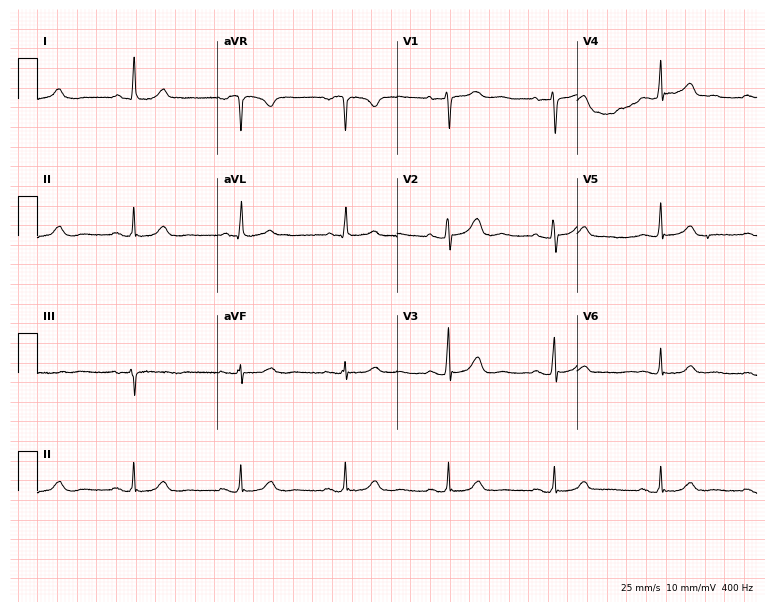
Resting 12-lead electrocardiogram. Patient: a woman, 74 years old. Read as a normal ECG.